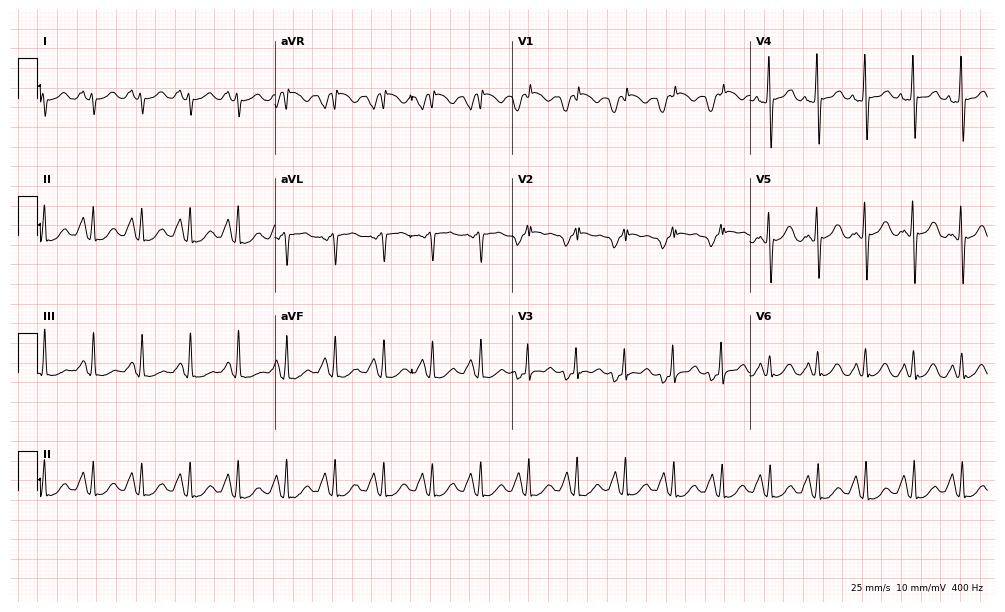
Standard 12-lead ECG recorded from a 33-year-old man (9.7-second recording at 400 Hz). None of these six findings is recorded: first-degree AV block, right bundle branch block, left bundle branch block, sinus bradycardia, atrial fibrillation, sinus tachycardia. Only these six findings were labelled.